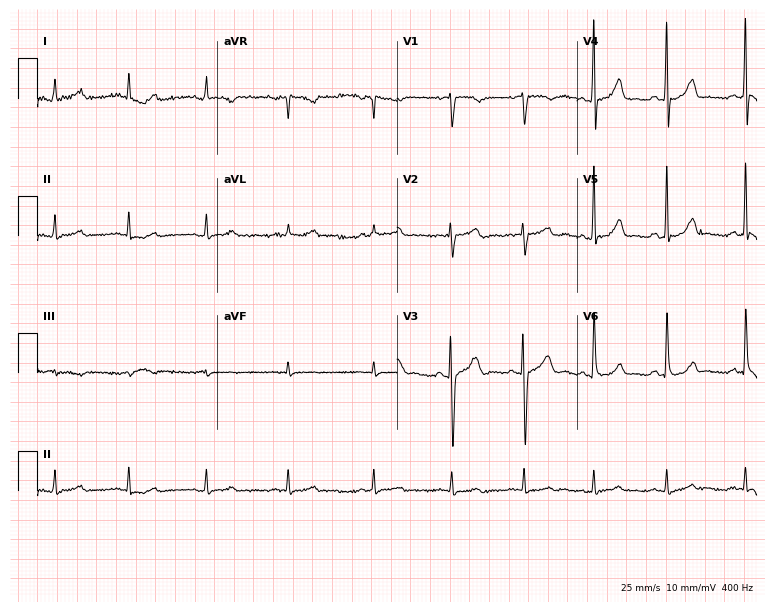
Resting 12-lead electrocardiogram (7.3-second recording at 400 Hz). Patient: a 34-year-old woman. Read as a normal ECG.